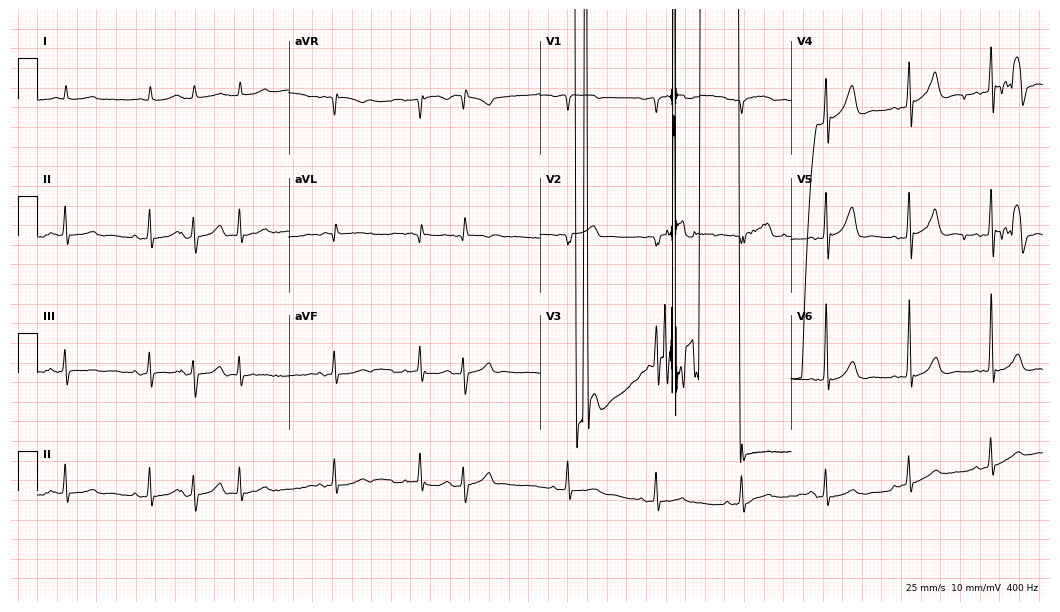
Standard 12-lead ECG recorded from a 58-year-old man. None of these six findings is recorded: first-degree AV block, right bundle branch block, left bundle branch block, sinus bradycardia, atrial fibrillation, sinus tachycardia. Only these six findings were labelled.